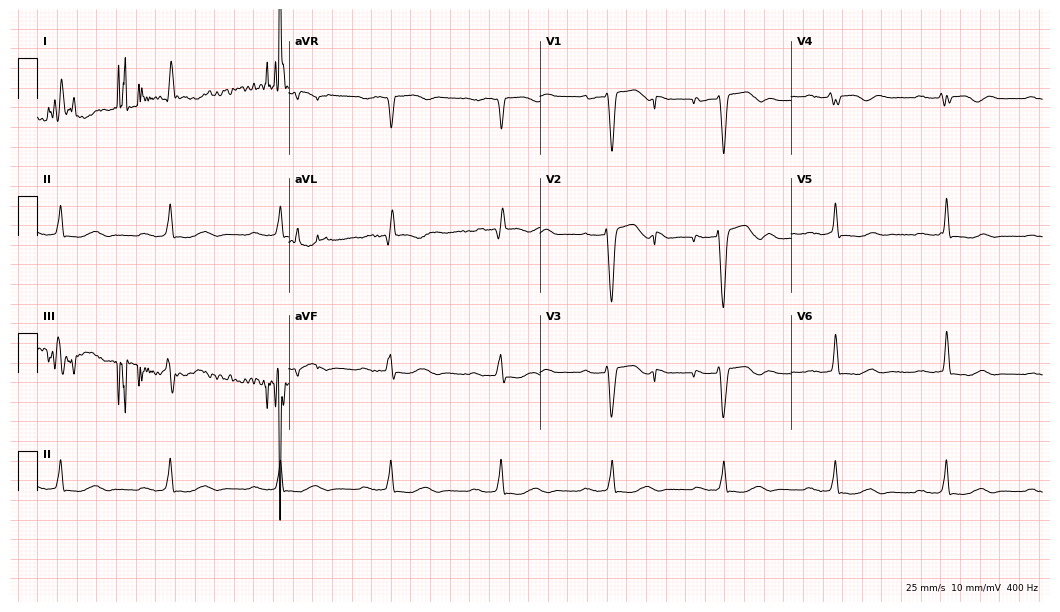
Electrocardiogram, a man, 64 years old. Interpretation includes first-degree AV block.